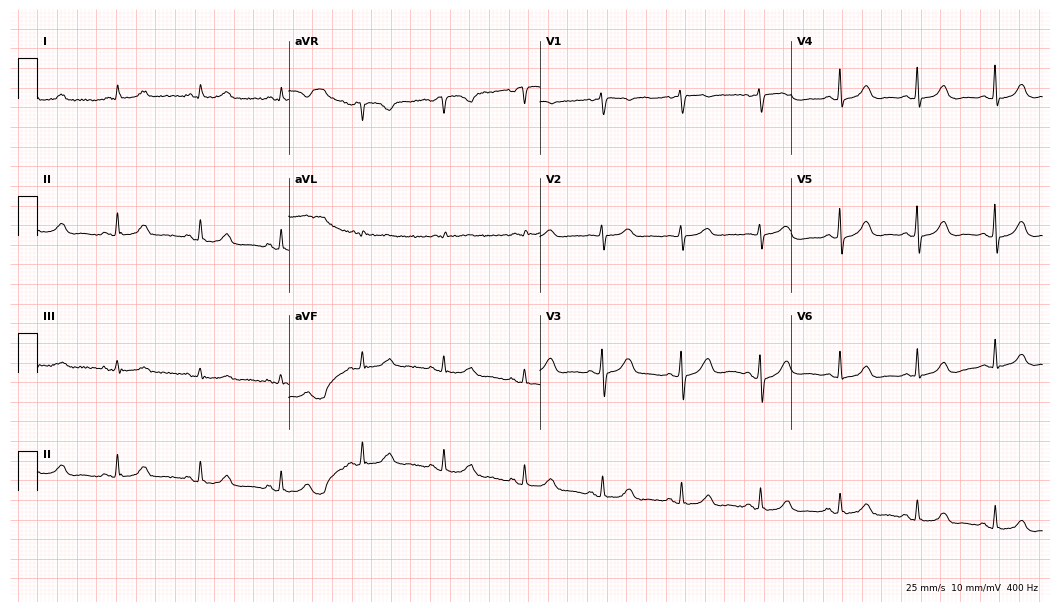
12-lead ECG (10.2-second recording at 400 Hz) from a female, 77 years old. Labelled as a normal ECG.